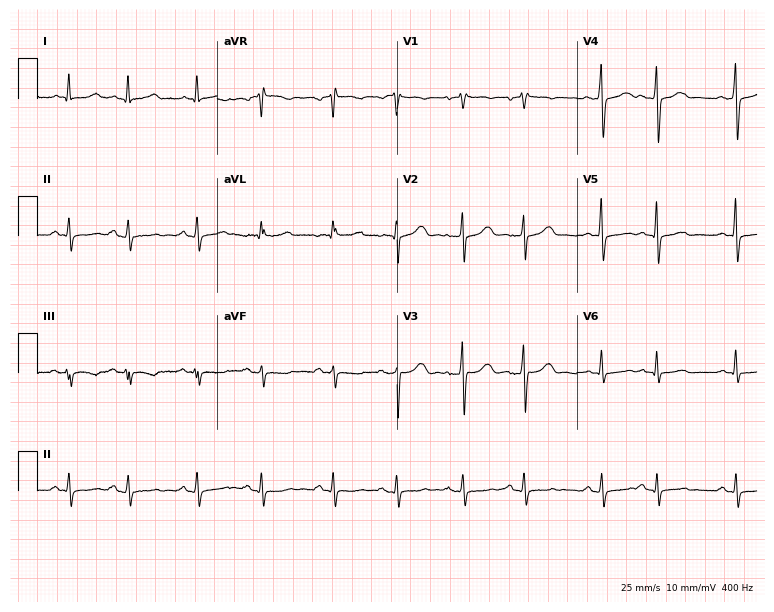
12-lead ECG (7.3-second recording at 400 Hz) from a 78-year-old female. Screened for six findings — first-degree AV block, right bundle branch block, left bundle branch block, sinus bradycardia, atrial fibrillation, sinus tachycardia — none is recorded. Findings outside these six are not listed.